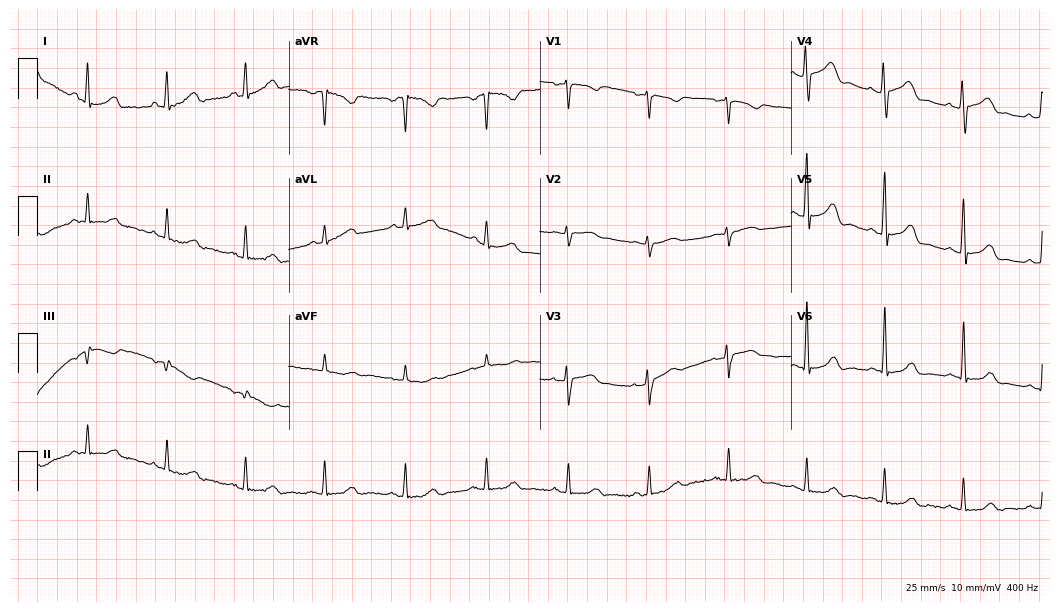
12-lead ECG from a female patient, 55 years old. Recorded interpretation: within normal limits.